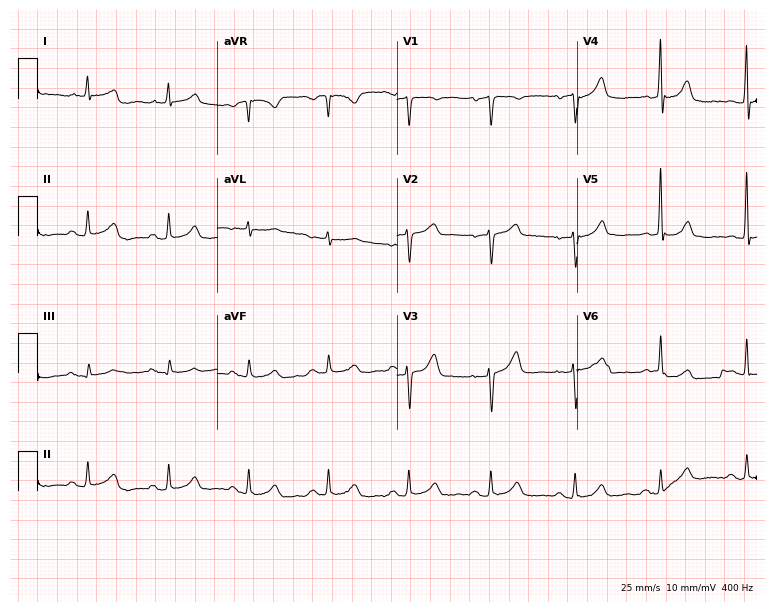
Resting 12-lead electrocardiogram. Patient: a 69-year-old male. None of these six findings is recorded: first-degree AV block, right bundle branch block, left bundle branch block, sinus bradycardia, atrial fibrillation, sinus tachycardia. Other findings, if any, are not listed.